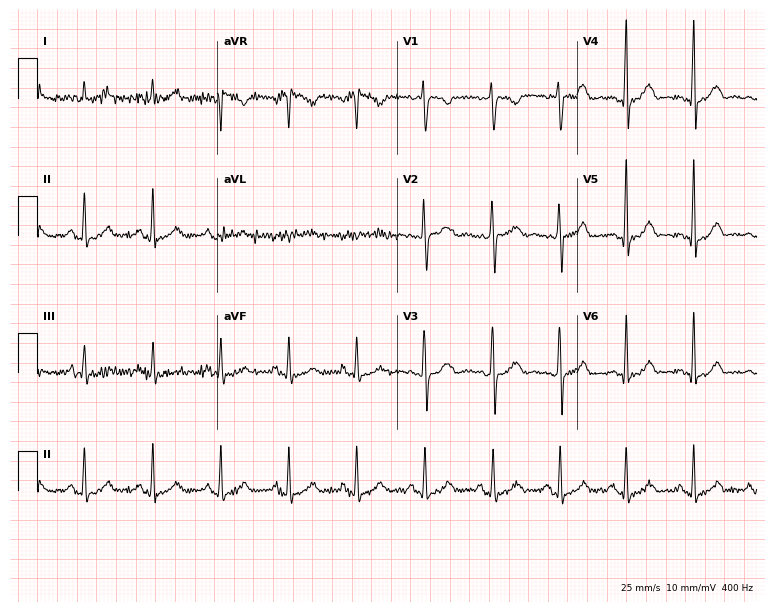
12-lead ECG from a 26-year-old female patient. Screened for six findings — first-degree AV block, right bundle branch block, left bundle branch block, sinus bradycardia, atrial fibrillation, sinus tachycardia — none is recorded. Findings outside these six are not listed.